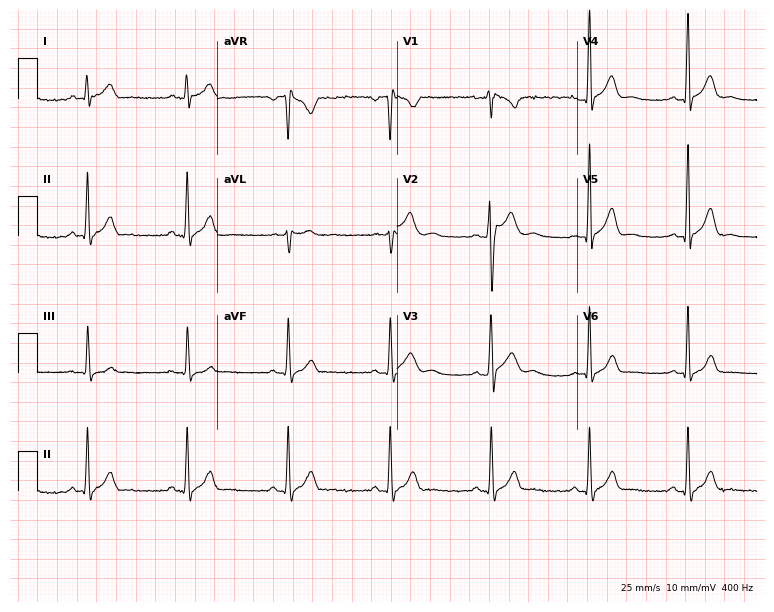
12-lead ECG from a 29-year-old male patient (7.3-second recording at 400 Hz). No first-degree AV block, right bundle branch block (RBBB), left bundle branch block (LBBB), sinus bradycardia, atrial fibrillation (AF) or sinus tachycardia recorded for this tracing.